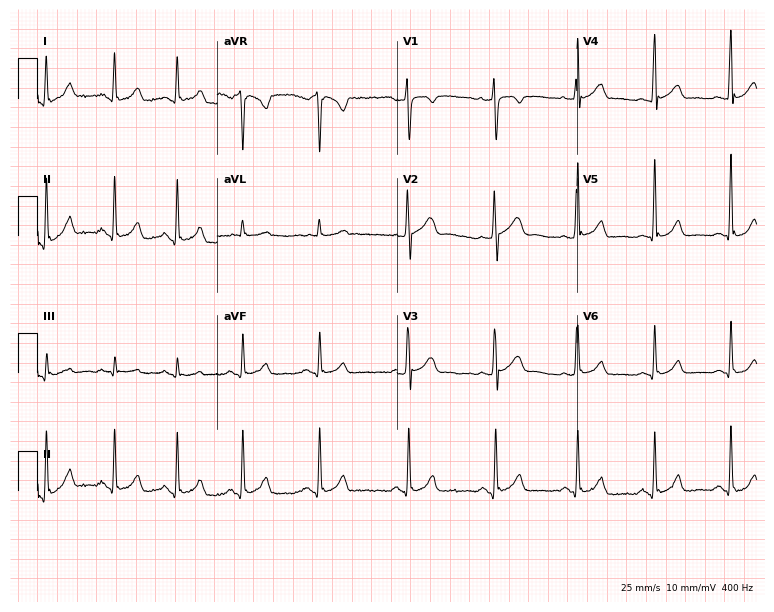
Electrocardiogram, a woman, 21 years old. Overall reading on record: normal ECG.